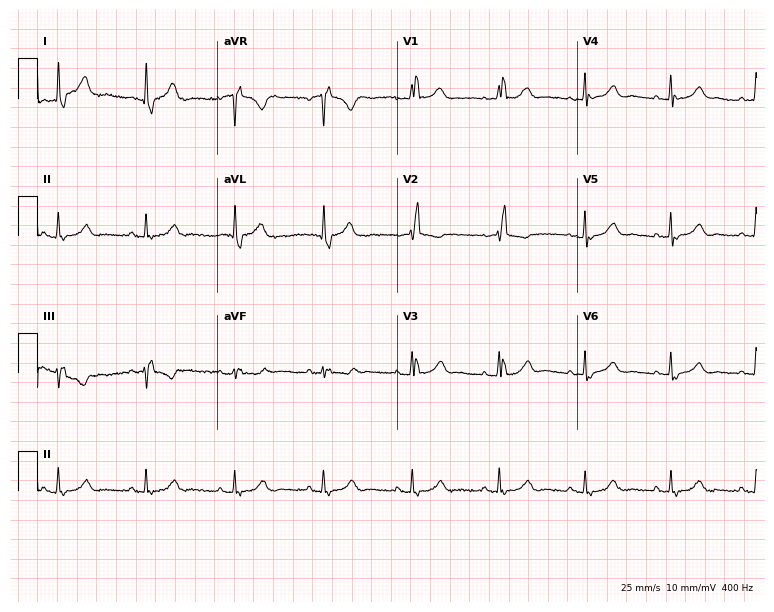
12-lead ECG (7.3-second recording at 400 Hz) from a female patient, 87 years old. Screened for six findings — first-degree AV block, right bundle branch block, left bundle branch block, sinus bradycardia, atrial fibrillation, sinus tachycardia — none is recorded. Other findings, if any, are not listed.